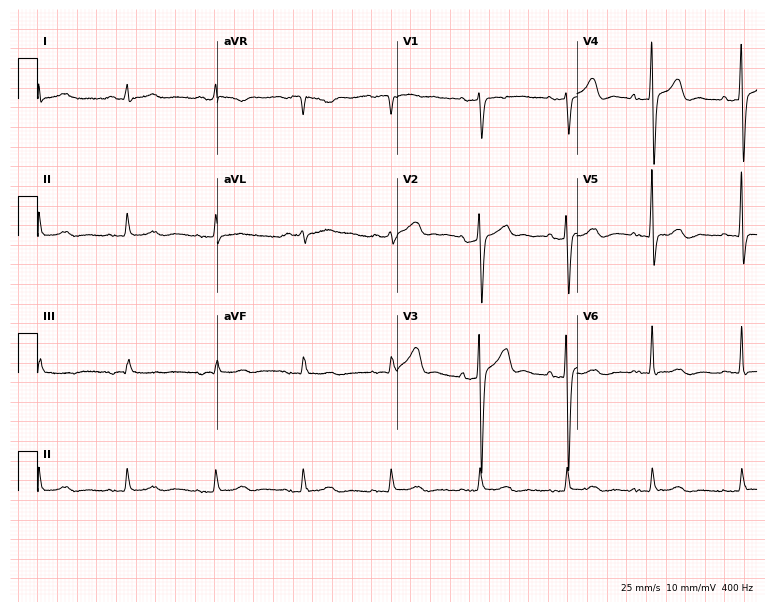
12-lead ECG from a male, 79 years old. Recorded interpretation: within normal limits.